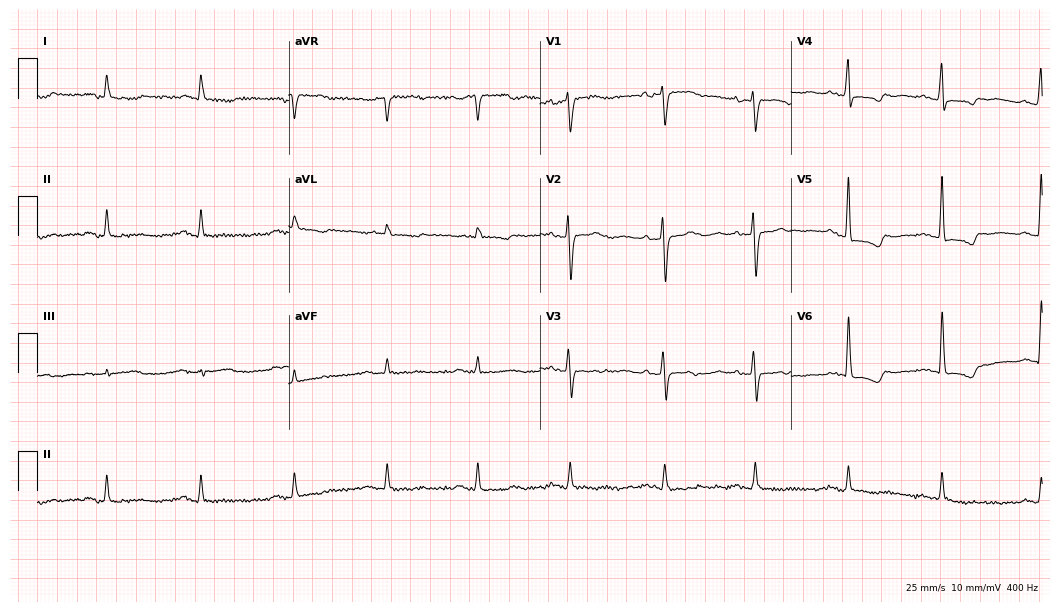
12-lead ECG from a female, 71 years old (10.2-second recording at 400 Hz). No first-degree AV block, right bundle branch block, left bundle branch block, sinus bradycardia, atrial fibrillation or sinus tachycardia recorded for this tracing.